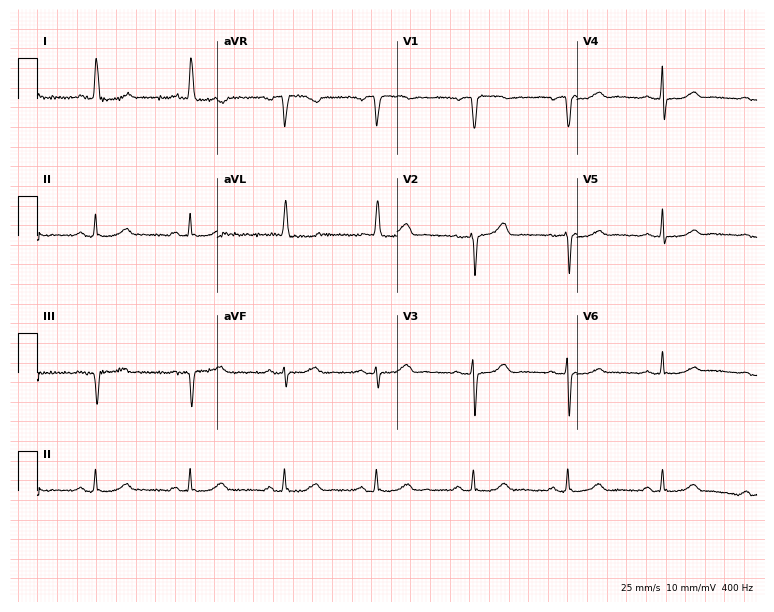
Resting 12-lead electrocardiogram (7.3-second recording at 400 Hz). Patient: a 76-year-old woman. Read as a normal ECG.